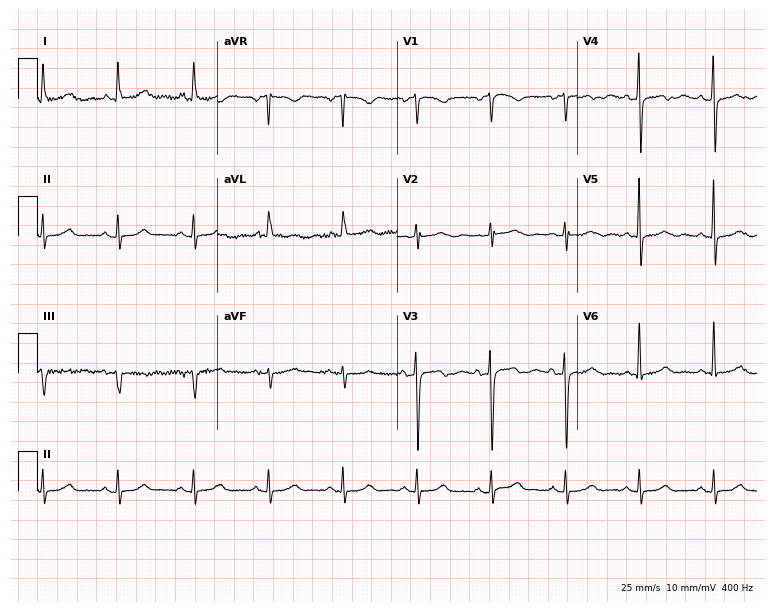
Electrocardiogram (7.3-second recording at 400 Hz), a 76-year-old woman. Overall reading on record: normal ECG.